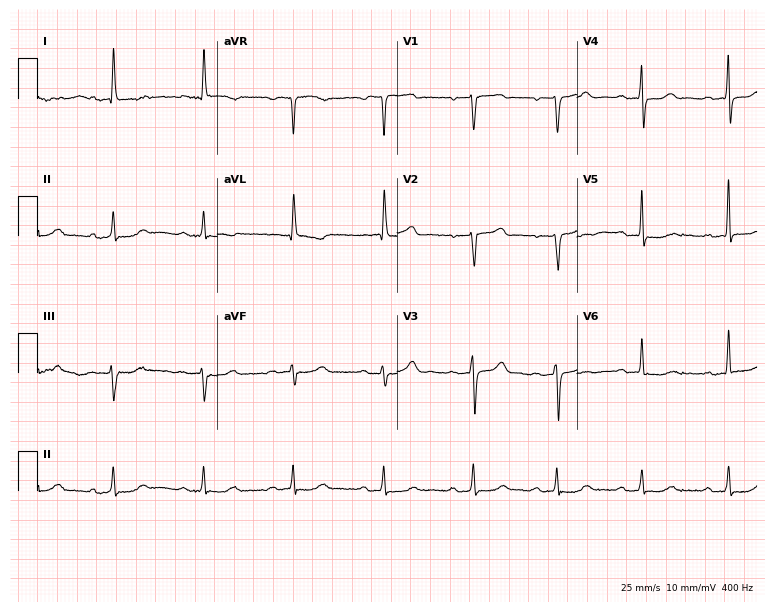
12-lead ECG from a man, 85 years old (7.3-second recording at 400 Hz). Shows first-degree AV block.